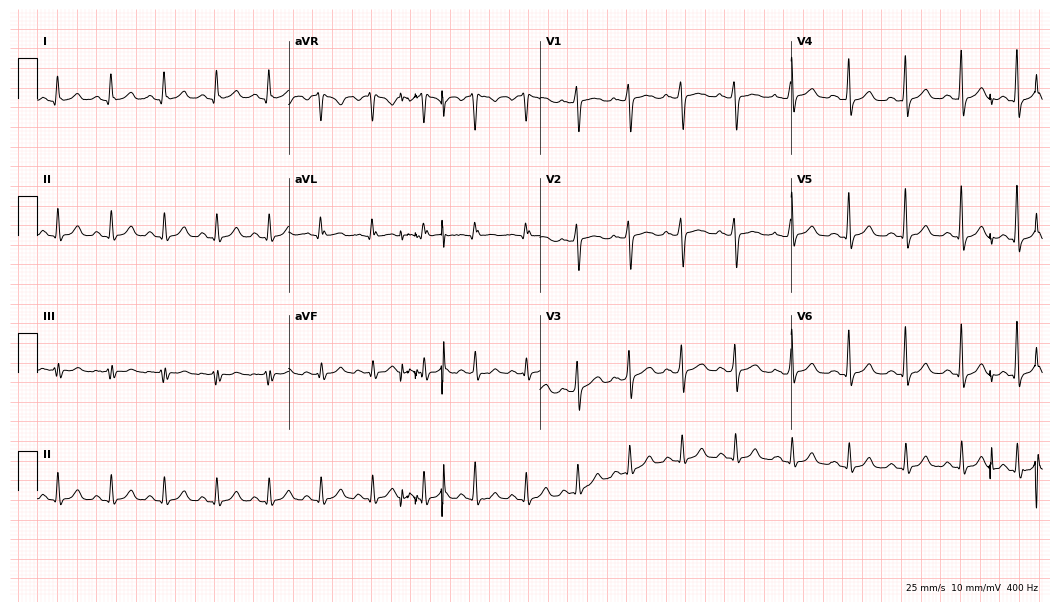
Standard 12-lead ECG recorded from a female, 41 years old. The tracing shows sinus tachycardia (a sinus rate of 100 beats per minute or more).